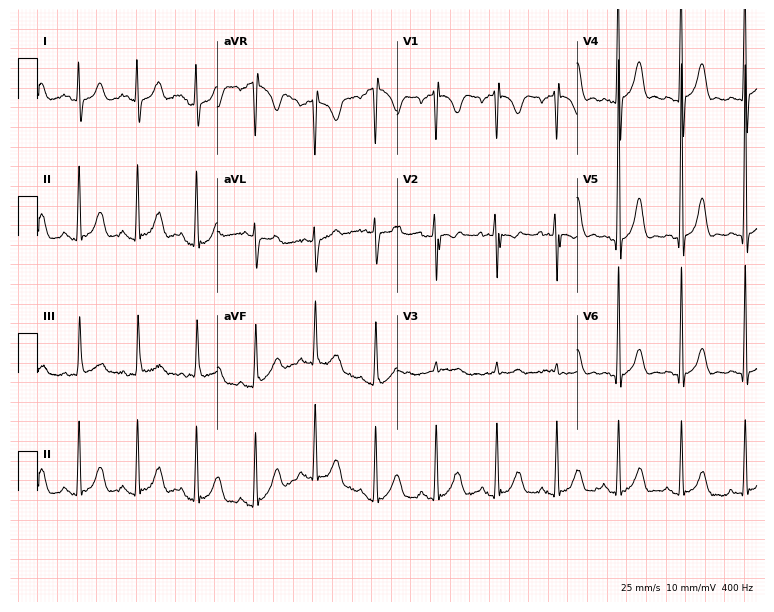
Electrocardiogram (7.3-second recording at 400 Hz), a 17-year-old man. Of the six screened findings (first-degree AV block, right bundle branch block (RBBB), left bundle branch block (LBBB), sinus bradycardia, atrial fibrillation (AF), sinus tachycardia), none is recorded.